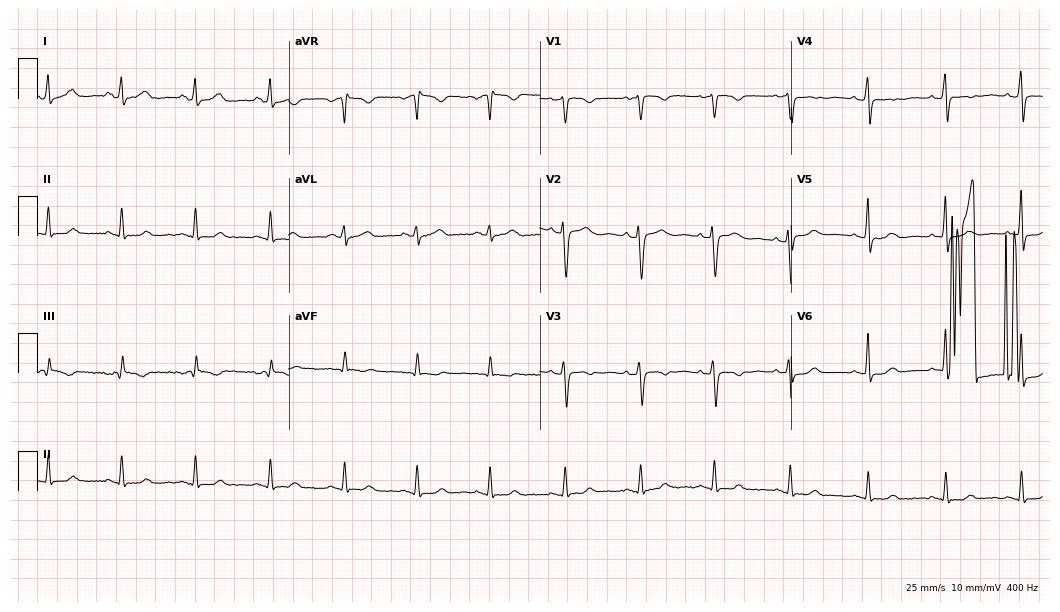
12-lead ECG from a 44-year-old woman (10.2-second recording at 400 Hz). Recorded interpretation: within normal limits.